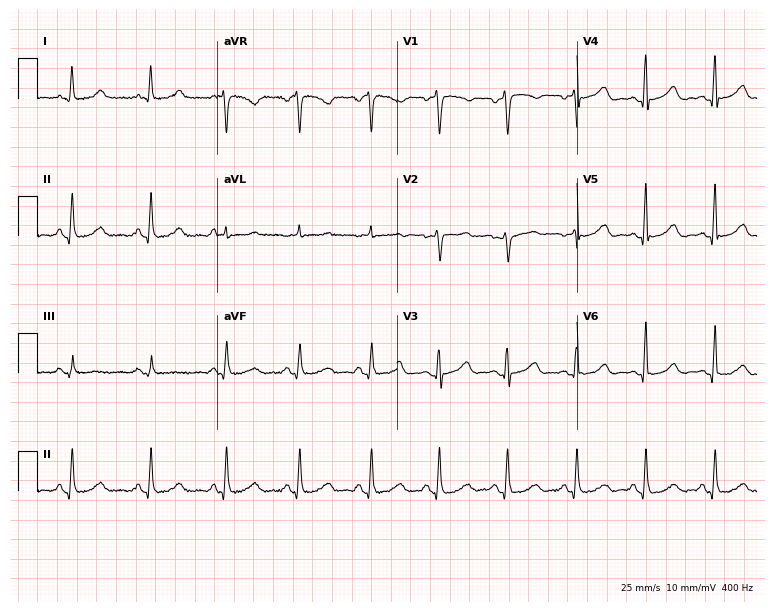
12-lead ECG (7.3-second recording at 400 Hz) from a woman, 47 years old. Screened for six findings — first-degree AV block, right bundle branch block (RBBB), left bundle branch block (LBBB), sinus bradycardia, atrial fibrillation (AF), sinus tachycardia — none is recorded. Other findings, if any, are not listed.